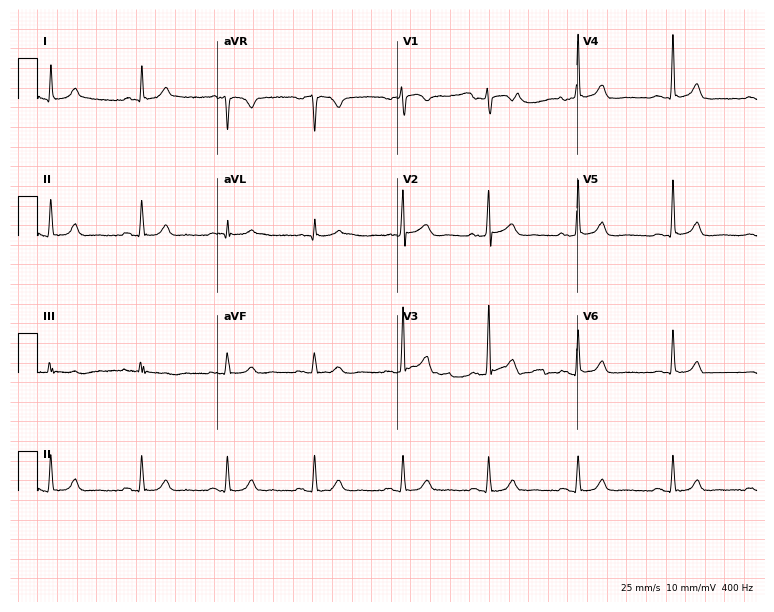
12-lead ECG from a man, 47 years old (7.3-second recording at 400 Hz). Recorded interpretation: within normal limits.